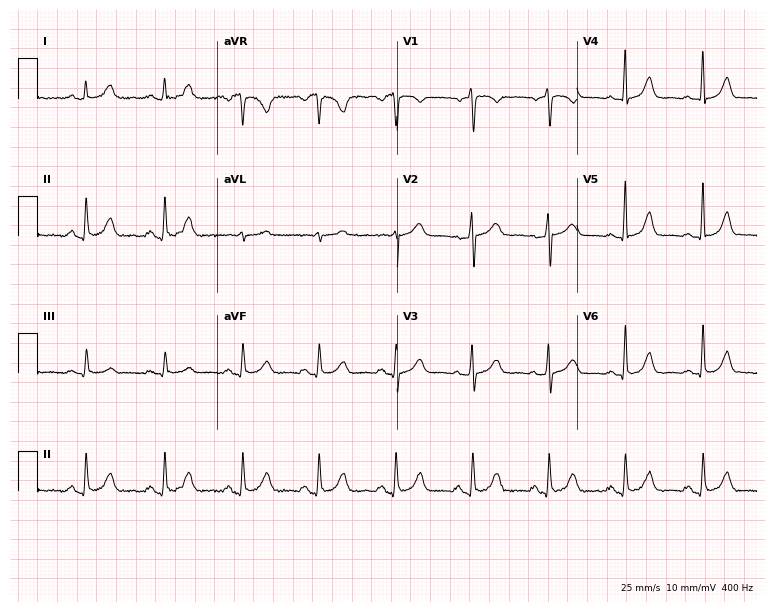
12-lead ECG from a 53-year-old female. Recorded interpretation: within normal limits.